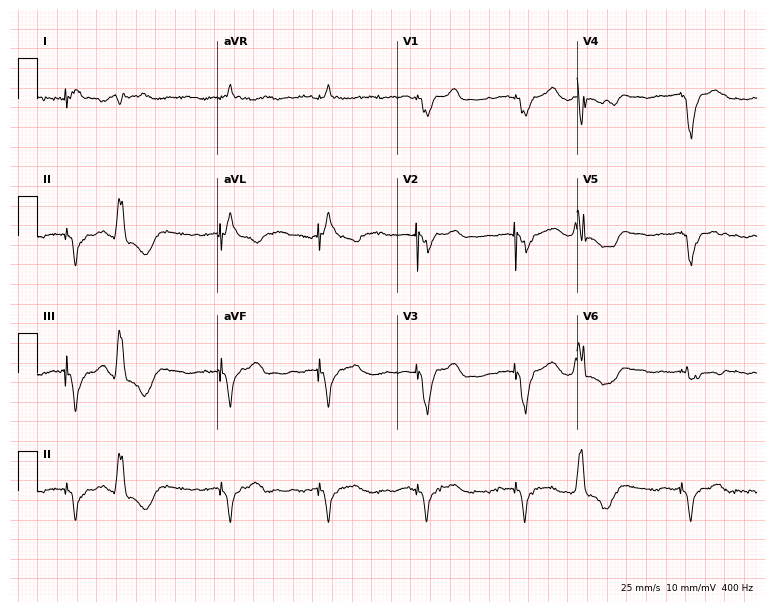
ECG — an 84-year-old male patient. Screened for six findings — first-degree AV block, right bundle branch block, left bundle branch block, sinus bradycardia, atrial fibrillation, sinus tachycardia — none is recorded.